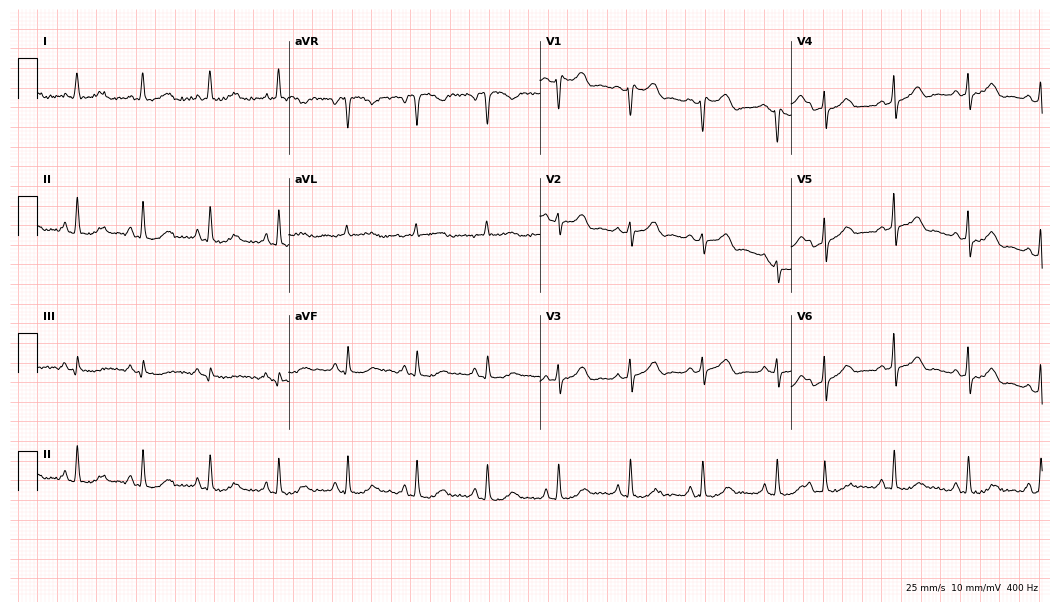
Electrocardiogram, a woman, 81 years old. Of the six screened findings (first-degree AV block, right bundle branch block (RBBB), left bundle branch block (LBBB), sinus bradycardia, atrial fibrillation (AF), sinus tachycardia), none is recorded. Findings outside these six are not listed.